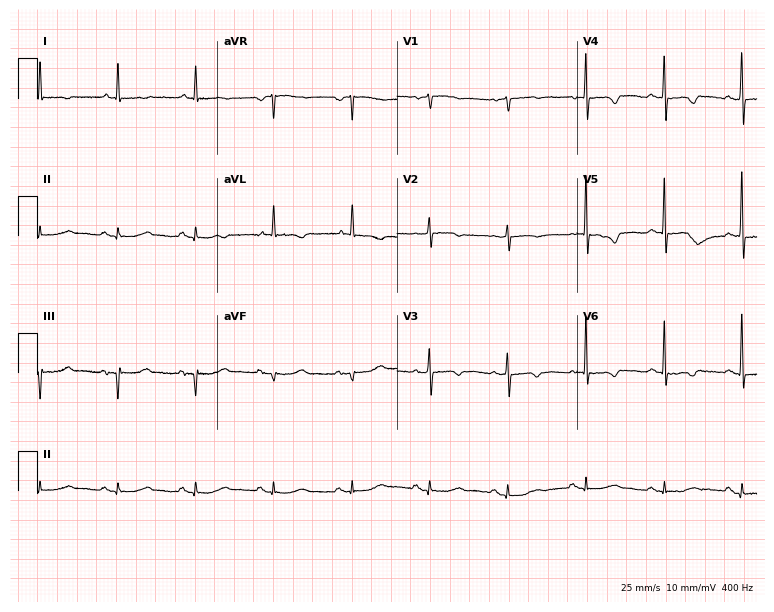
Resting 12-lead electrocardiogram (7.3-second recording at 400 Hz). Patient: a 74-year-old woman. None of these six findings is recorded: first-degree AV block, right bundle branch block, left bundle branch block, sinus bradycardia, atrial fibrillation, sinus tachycardia.